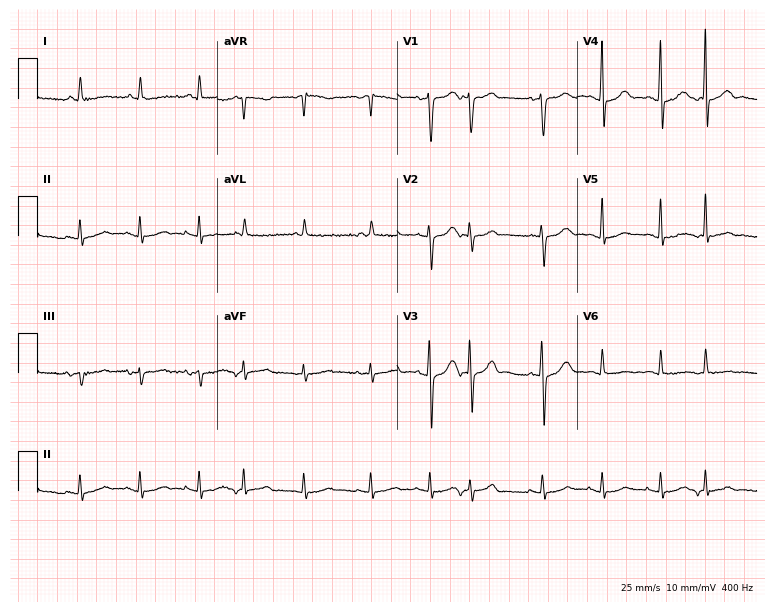
12-lead ECG from an 83-year-old man (7.3-second recording at 400 Hz). No first-degree AV block, right bundle branch block (RBBB), left bundle branch block (LBBB), sinus bradycardia, atrial fibrillation (AF) or sinus tachycardia recorded for this tracing. Only these six findings were labelled.